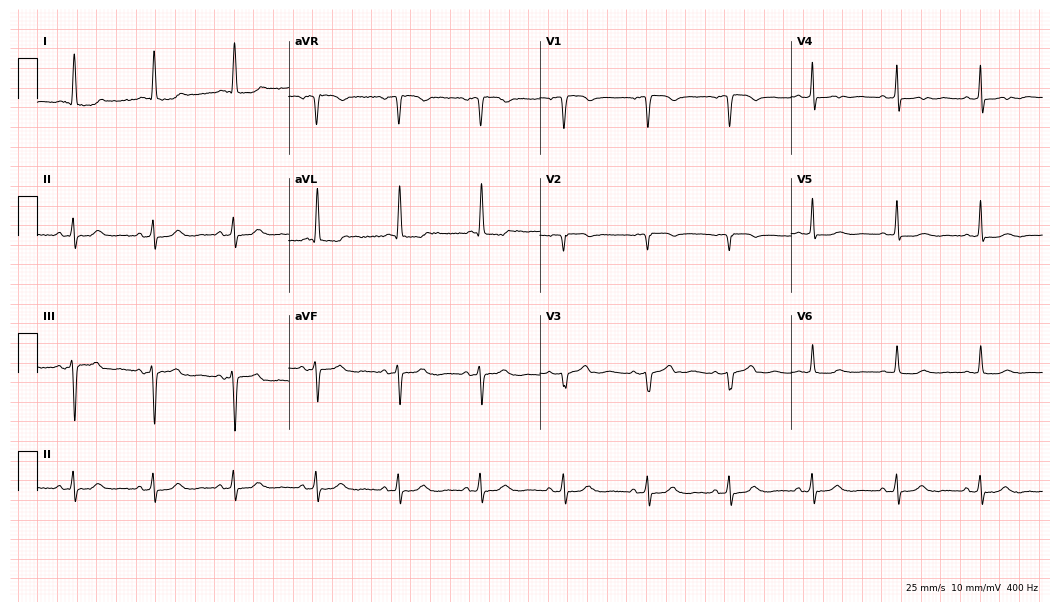
12-lead ECG from a female patient, 84 years old. Screened for six findings — first-degree AV block, right bundle branch block (RBBB), left bundle branch block (LBBB), sinus bradycardia, atrial fibrillation (AF), sinus tachycardia — none is recorded.